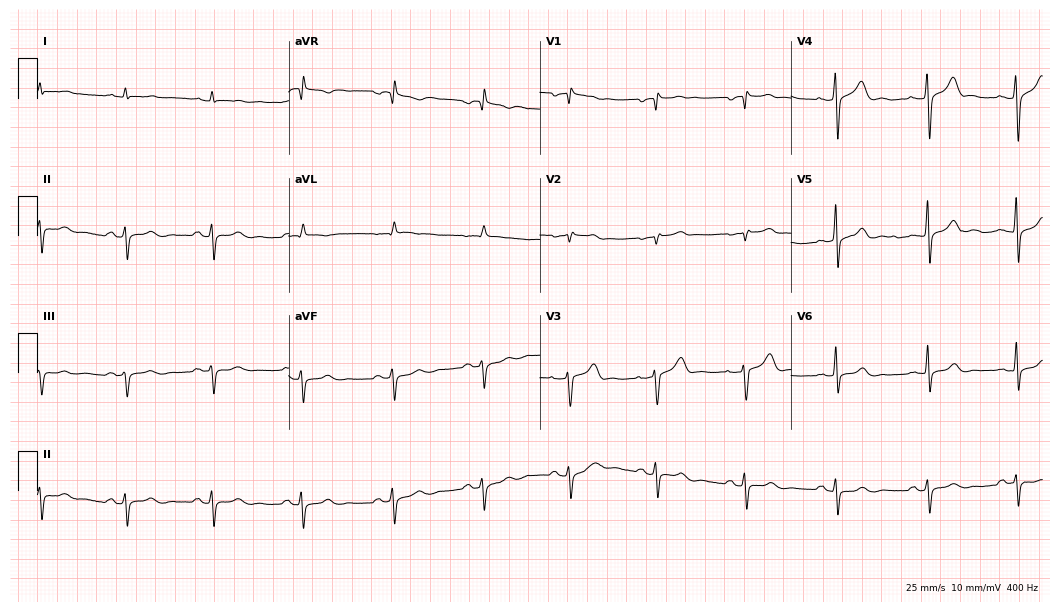
ECG — a male patient, 54 years old. Screened for six findings — first-degree AV block, right bundle branch block, left bundle branch block, sinus bradycardia, atrial fibrillation, sinus tachycardia — none is recorded. Only these six findings were labelled.